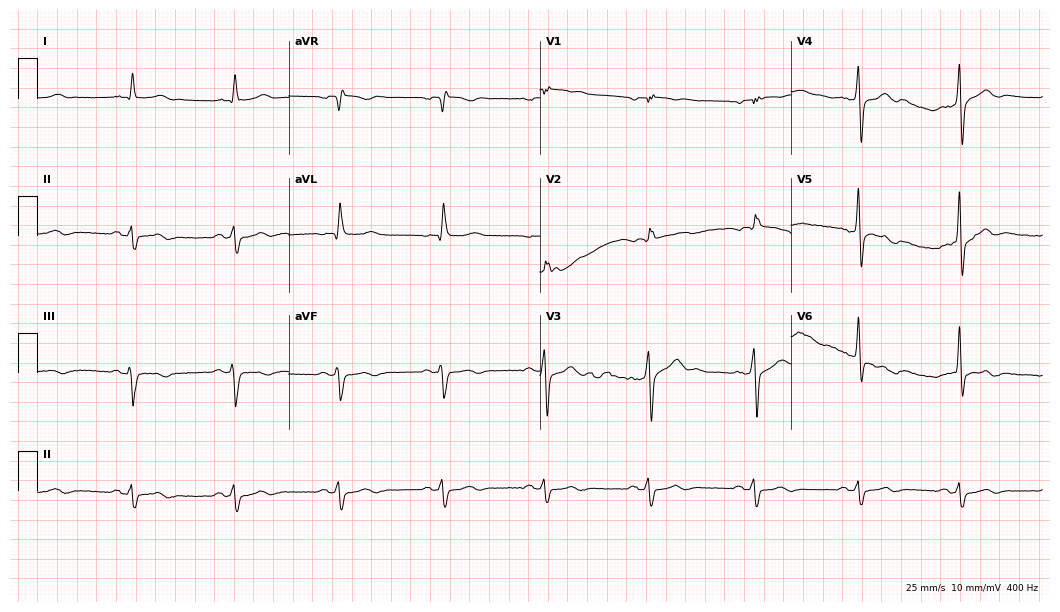
12-lead ECG from a male, 68 years old. Shows left bundle branch block (LBBB).